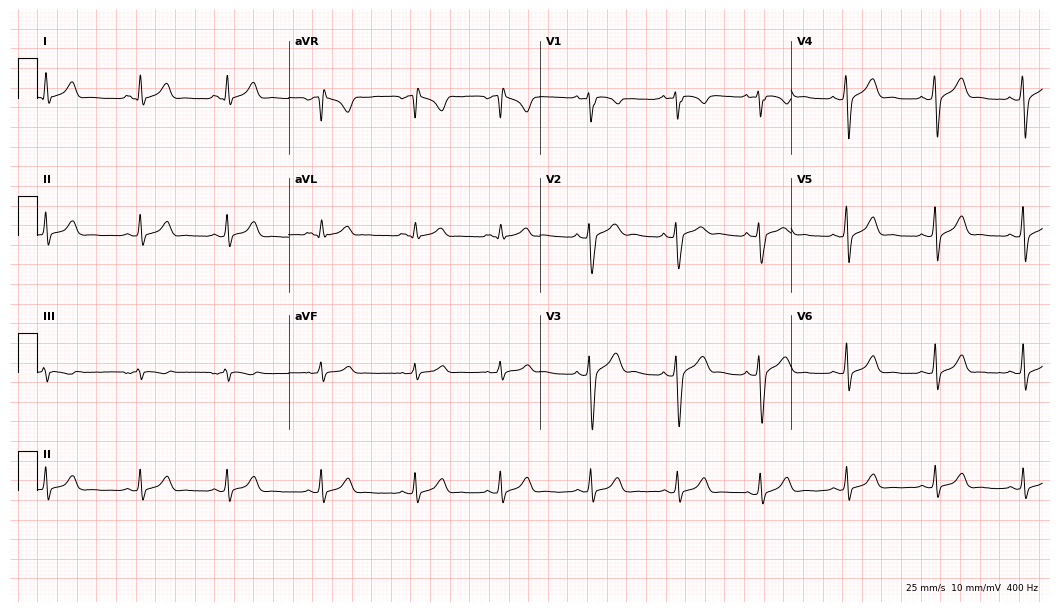
Electrocardiogram (10.2-second recording at 400 Hz), a man, 27 years old. Overall reading on record: normal ECG.